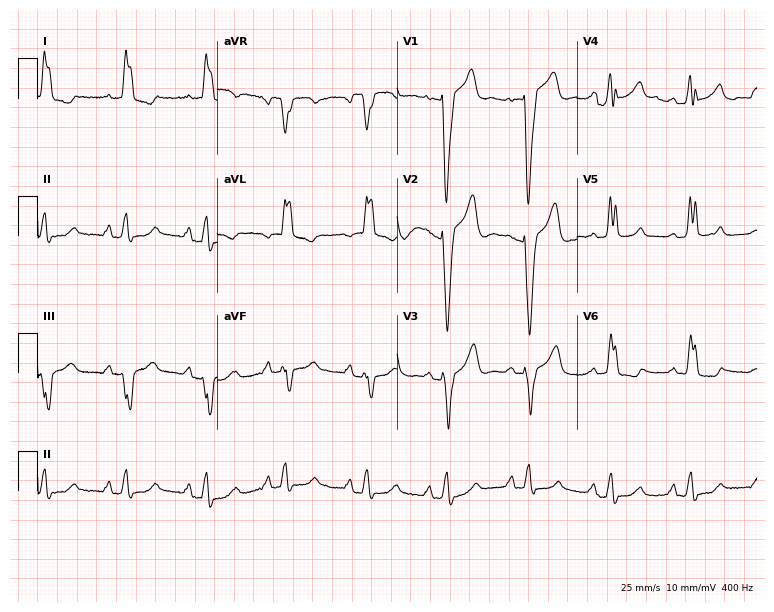
12-lead ECG from a female patient, 52 years old. Findings include left bundle branch block.